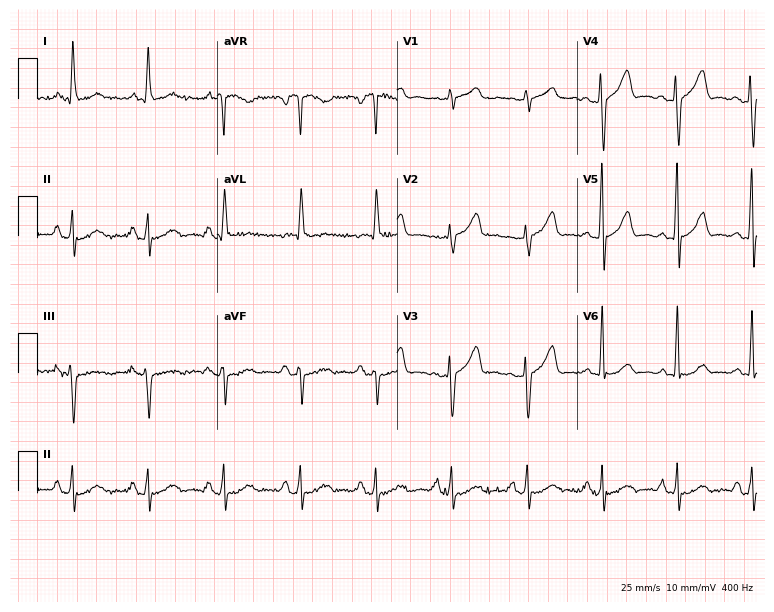
Electrocardiogram, a woman, 64 years old. Overall reading on record: normal ECG.